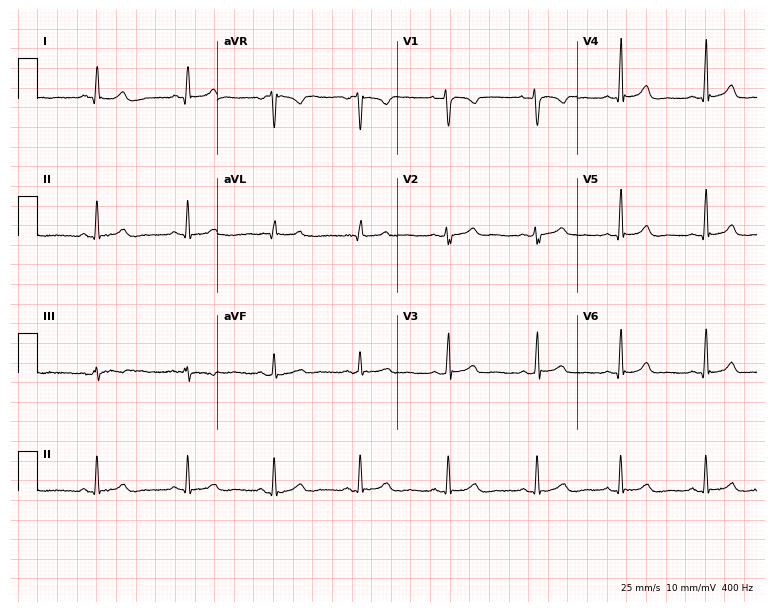
12-lead ECG (7.3-second recording at 400 Hz) from a 20-year-old female patient. Labelled as a normal ECG.